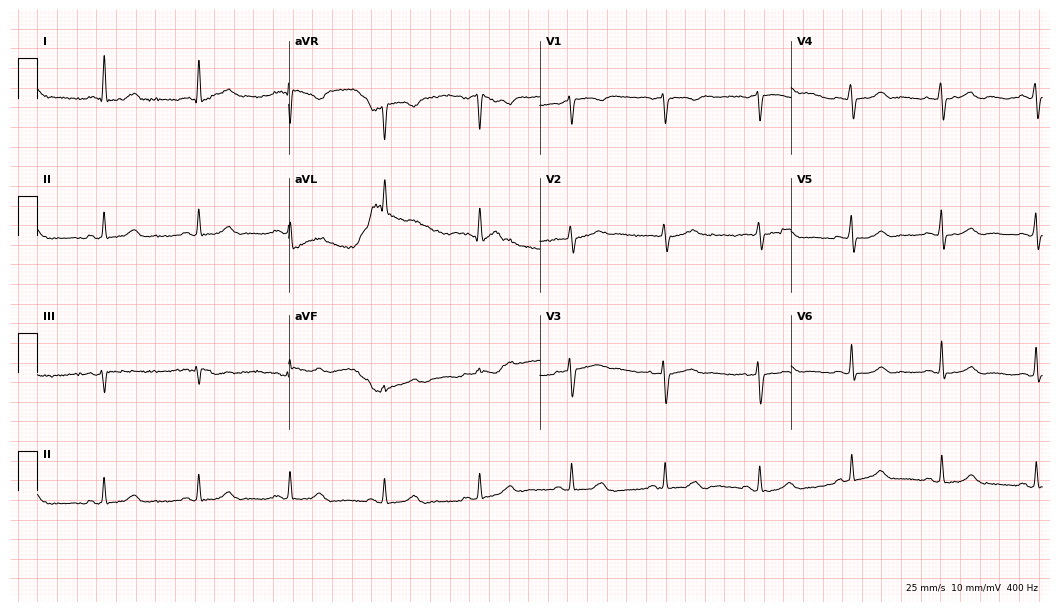
Resting 12-lead electrocardiogram (10.2-second recording at 400 Hz). Patient: a woman, 44 years old. Read as a normal ECG.